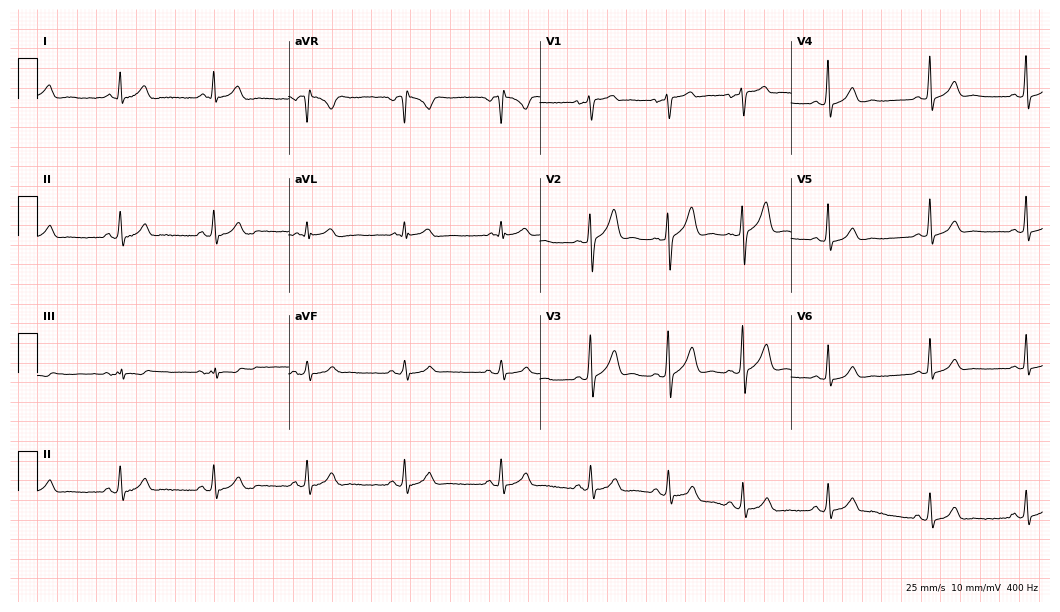
ECG — a 24-year-old male. Labelled as a normal ECG.